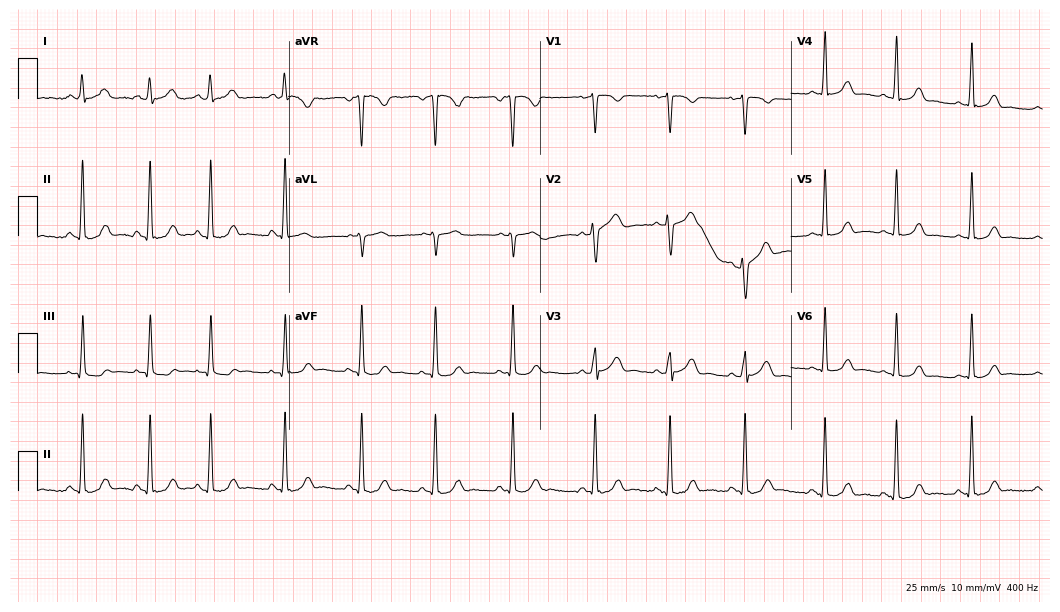
12-lead ECG (10.2-second recording at 400 Hz) from a 21-year-old female patient. Labelled as a normal ECG.